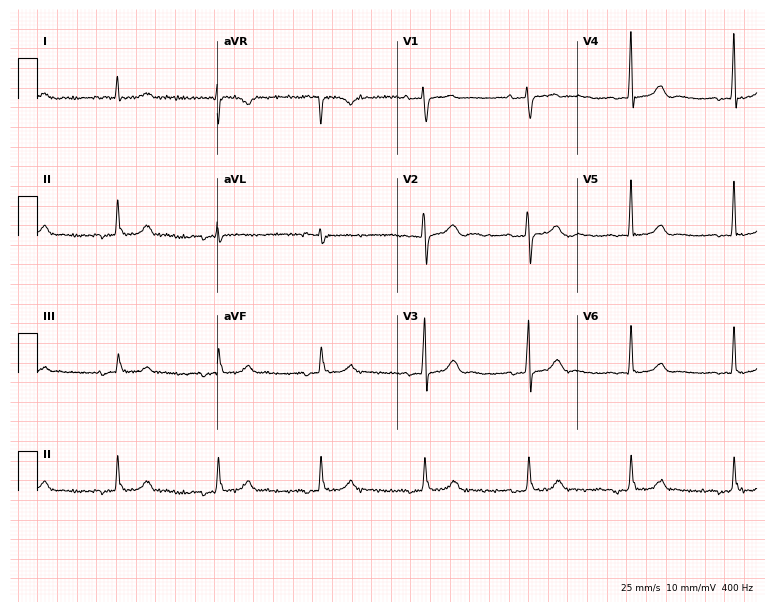
12-lead ECG (7.3-second recording at 400 Hz) from an 80-year-old male patient. Screened for six findings — first-degree AV block, right bundle branch block, left bundle branch block, sinus bradycardia, atrial fibrillation, sinus tachycardia — none is recorded. Findings outside these six are not listed.